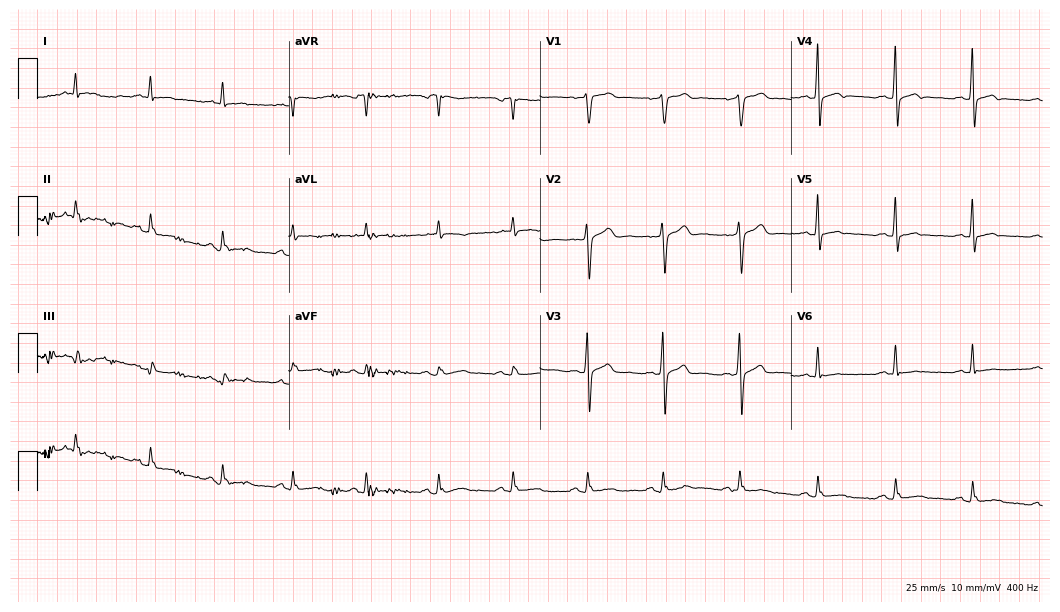
12-lead ECG from a 49-year-old man. Labelled as a normal ECG.